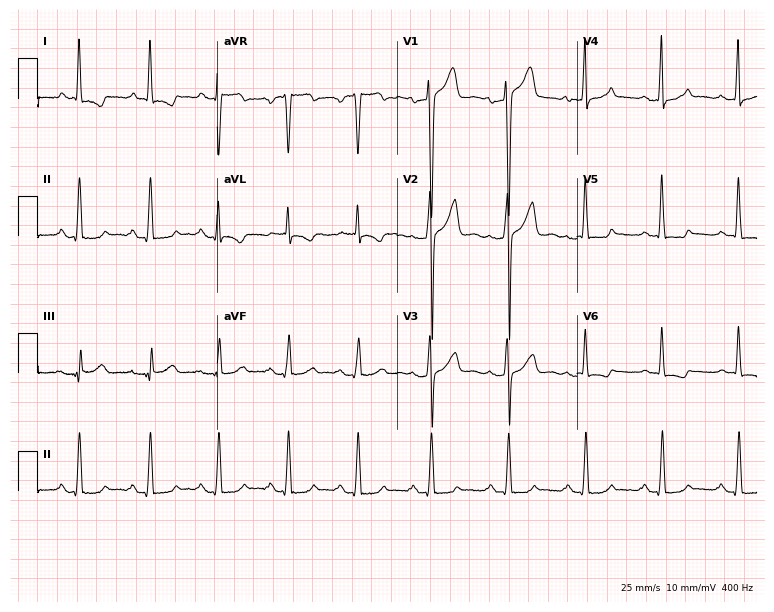
12-lead ECG from a 41-year-old male. No first-degree AV block, right bundle branch block, left bundle branch block, sinus bradycardia, atrial fibrillation or sinus tachycardia recorded for this tracing.